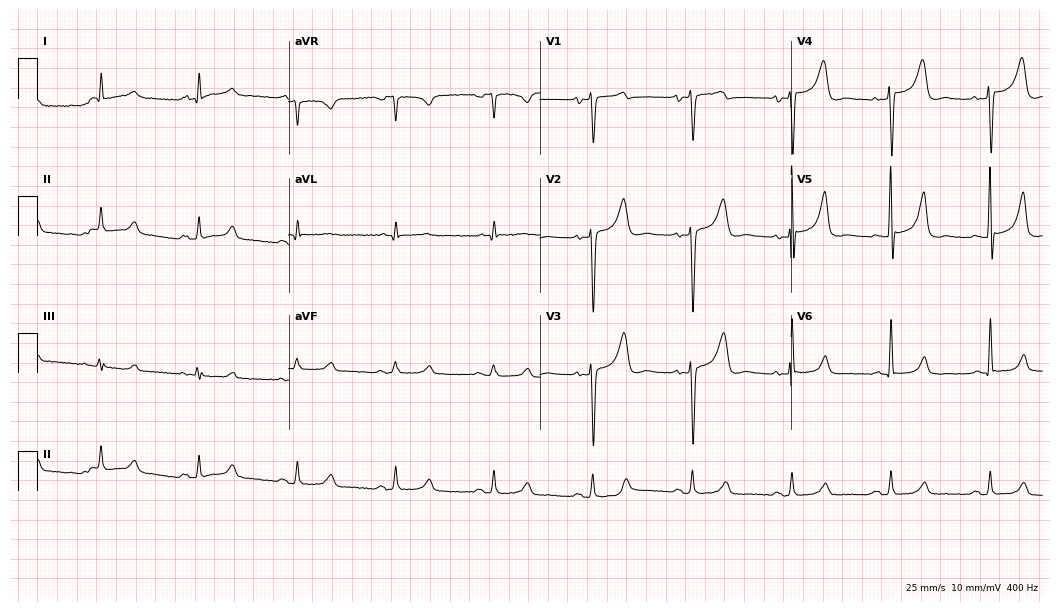
ECG — a 51-year-old male patient. Labelled as a normal ECG.